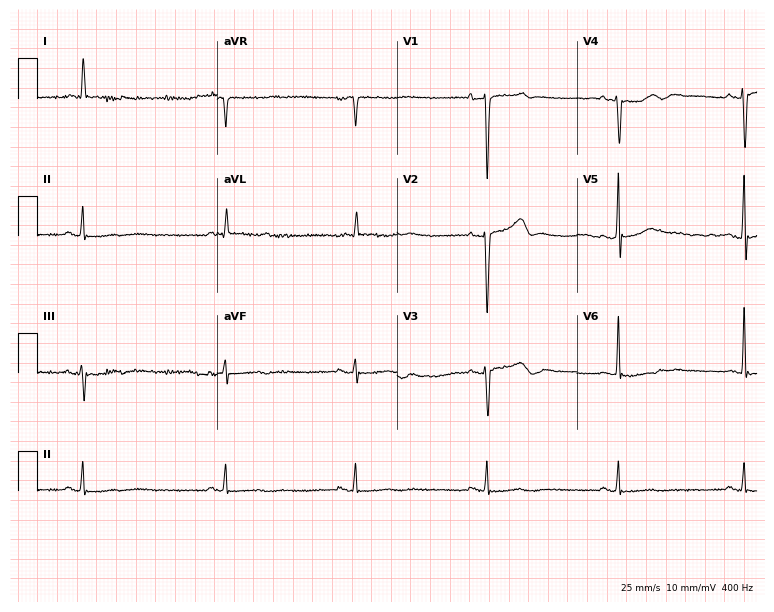
Standard 12-lead ECG recorded from a female patient, 74 years old. The tracing shows sinus bradycardia (a sinus rate of 50 beats per minute or less).